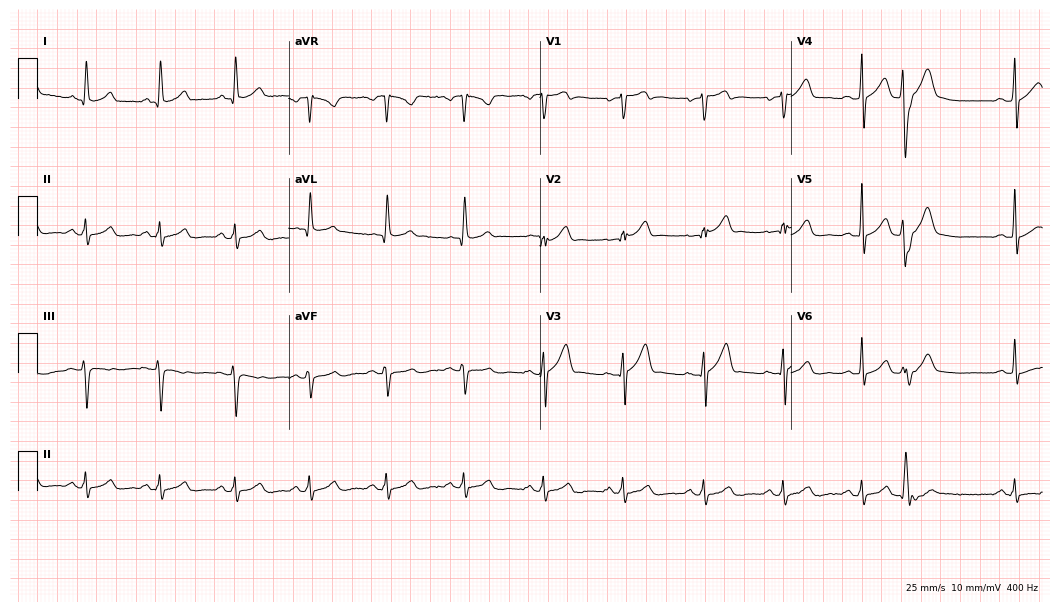
12-lead ECG (10.2-second recording at 400 Hz) from a male, 50 years old. Labelled as a normal ECG.